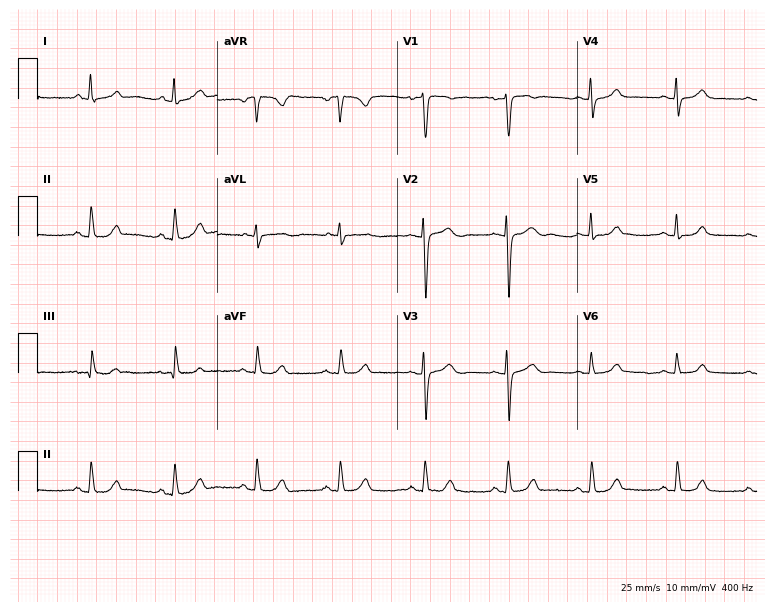
ECG — a 42-year-old woman. Labelled as a normal ECG.